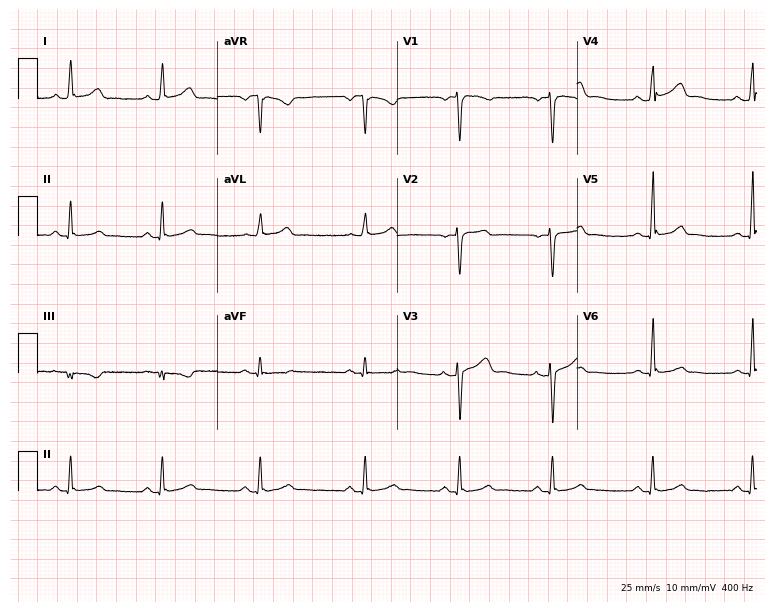
ECG — a 29-year-old female. Labelled as a normal ECG.